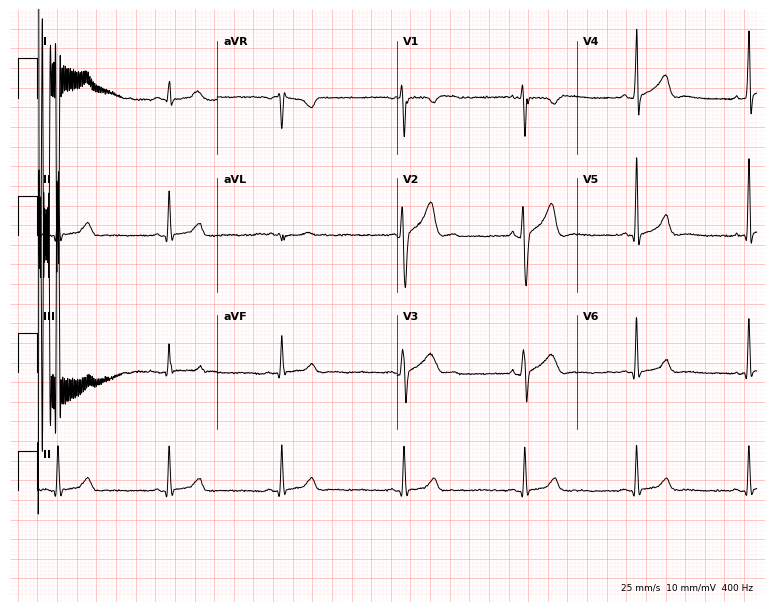
Standard 12-lead ECG recorded from a 26-year-old male. None of these six findings is recorded: first-degree AV block, right bundle branch block, left bundle branch block, sinus bradycardia, atrial fibrillation, sinus tachycardia. Other findings, if any, are not listed.